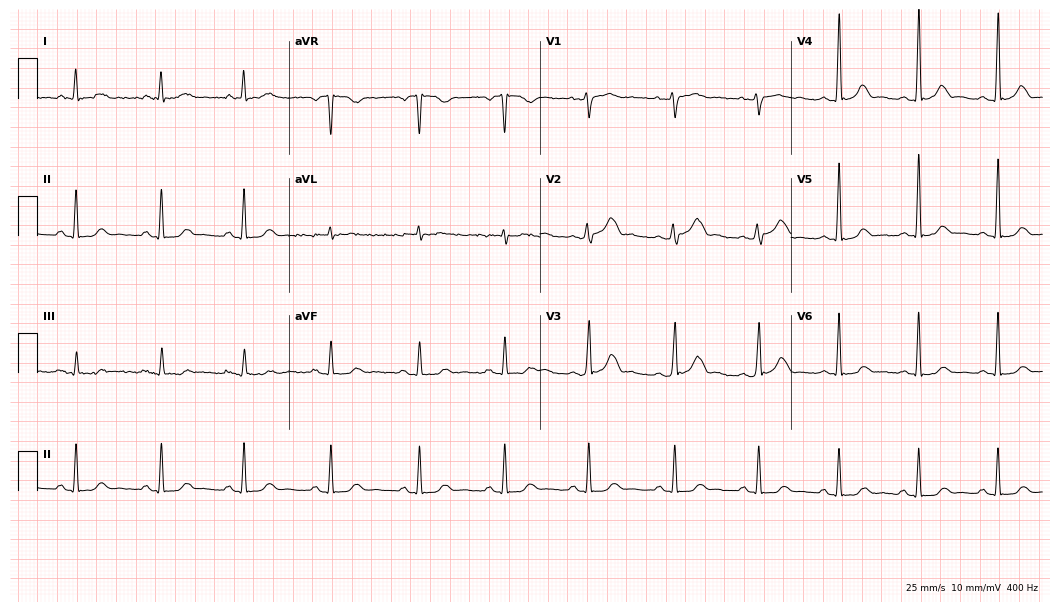
12-lead ECG from a 55-year-old male (10.2-second recording at 400 Hz). Recorded interpretation: within normal limits.